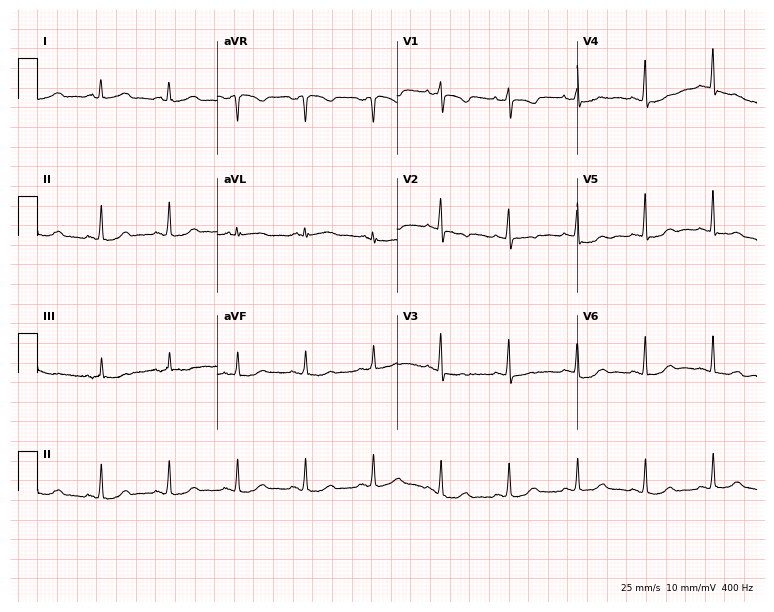
Resting 12-lead electrocardiogram (7.3-second recording at 400 Hz). Patient: a female, 60 years old. None of these six findings is recorded: first-degree AV block, right bundle branch block, left bundle branch block, sinus bradycardia, atrial fibrillation, sinus tachycardia. Other findings, if any, are not listed.